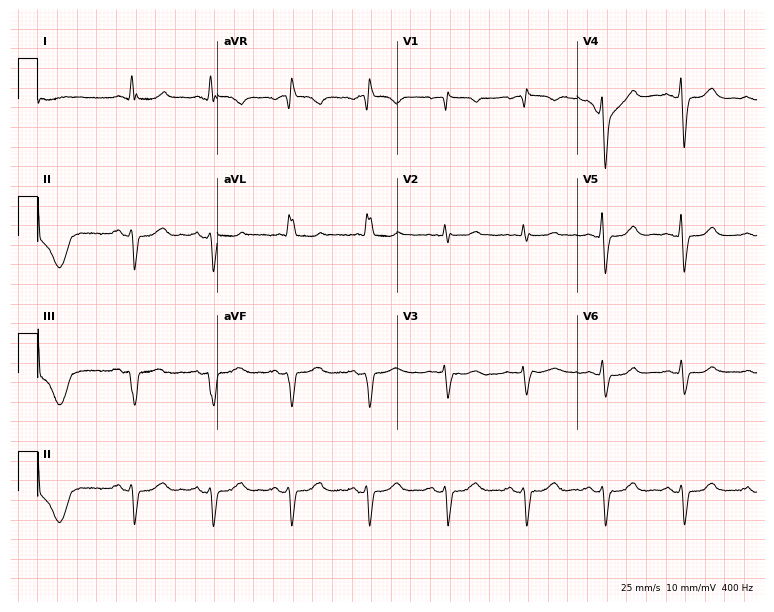
ECG (7.3-second recording at 400 Hz) — a woman, 75 years old. Screened for six findings — first-degree AV block, right bundle branch block, left bundle branch block, sinus bradycardia, atrial fibrillation, sinus tachycardia — none is recorded. Other findings, if any, are not listed.